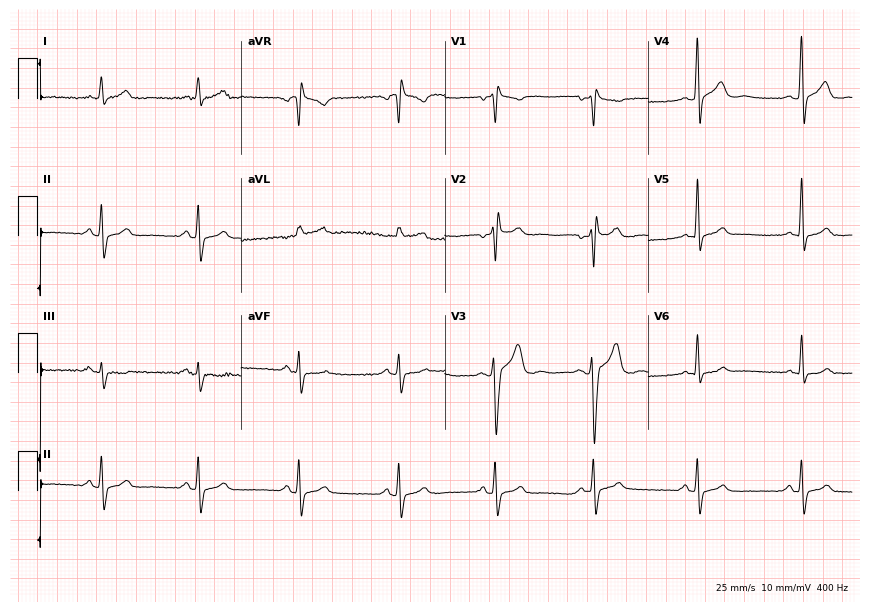
ECG — a 30-year-old male patient. Screened for six findings — first-degree AV block, right bundle branch block (RBBB), left bundle branch block (LBBB), sinus bradycardia, atrial fibrillation (AF), sinus tachycardia — none is recorded.